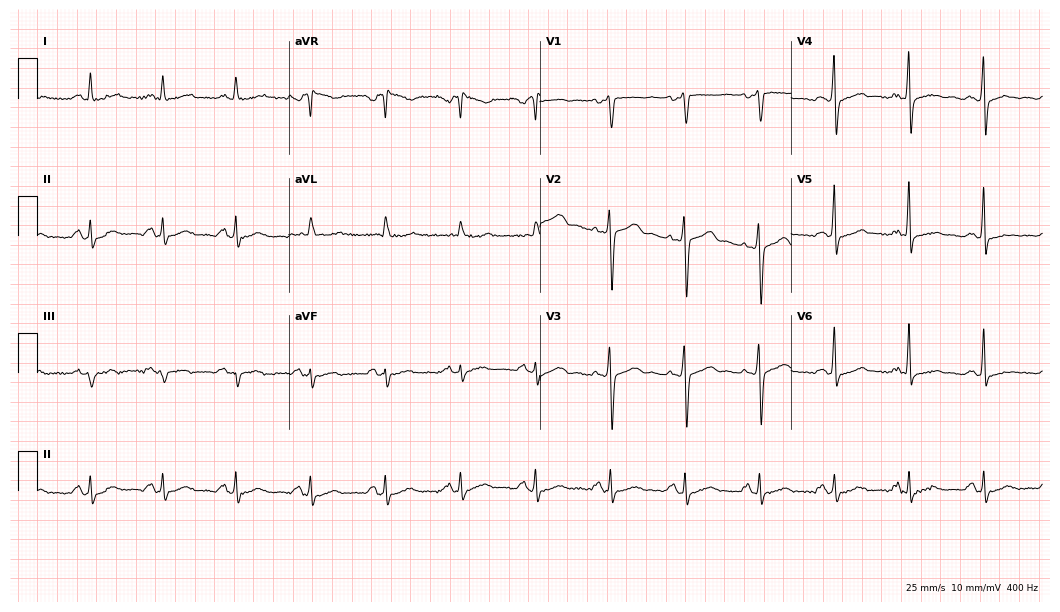
Standard 12-lead ECG recorded from a female patient, 56 years old (10.2-second recording at 400 Hz). None of these six findings is recorded: first-degree AV block, right bundle branch block (RBBB), left bundle branch block (LBBB), sinus bradycardia, atrial fibrillation (AF), sinus tachycardia.